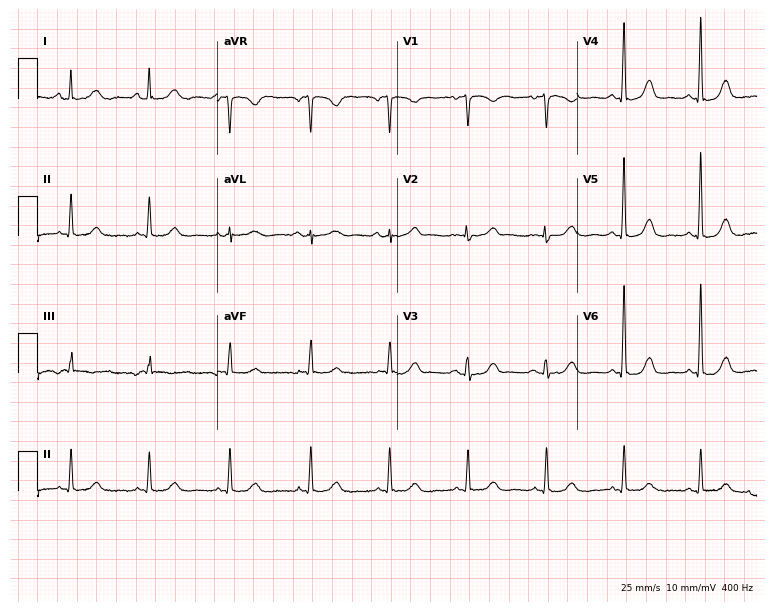
12-lead ECG from a 79-year-old woman. Labelled as a normal ECG.